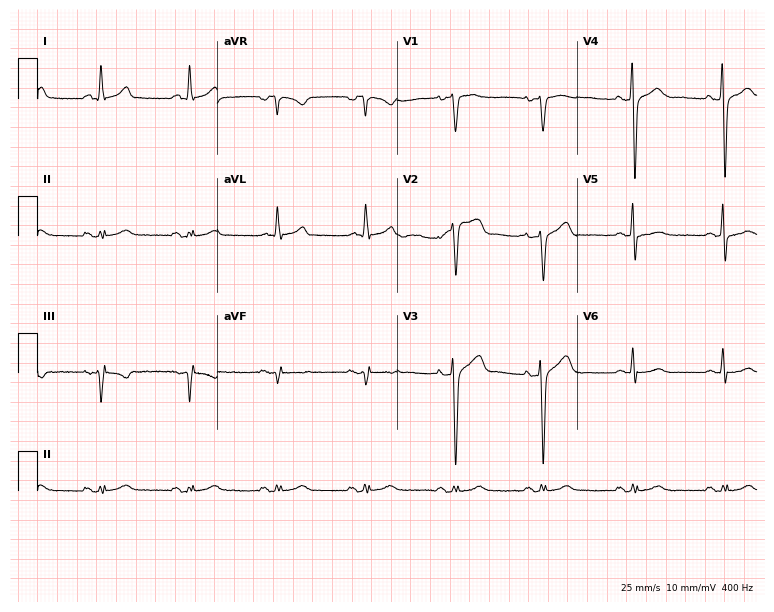
ECG — a 56-year-old male patient. Screened for six findings — first-degree AV block, right bundle branch block (RBBB), left bundle branch block (LBBB), sinus bradycardia, atrial fibrillation (AF), sinus tachycardia — none is recorded.